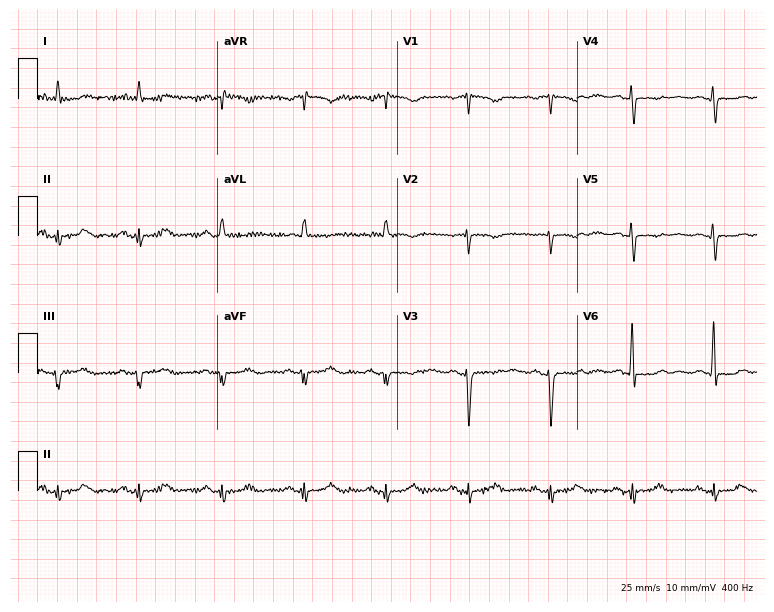
12-lead ECG from a 77-year-old female. No first-degree AV block, right bundle branch block, left bundle branch block, sinus bradycardia, atrial fibrillation or sinus tachycardia recorded for this tracing. Only these six findings were labelled.